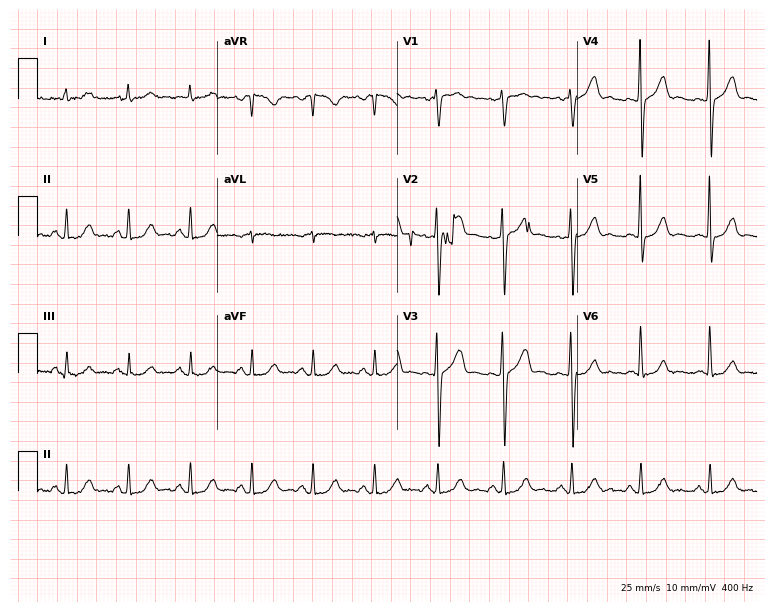
Electrocardiogram, a man, 56 years old. Overall reading on record: normal ECG.